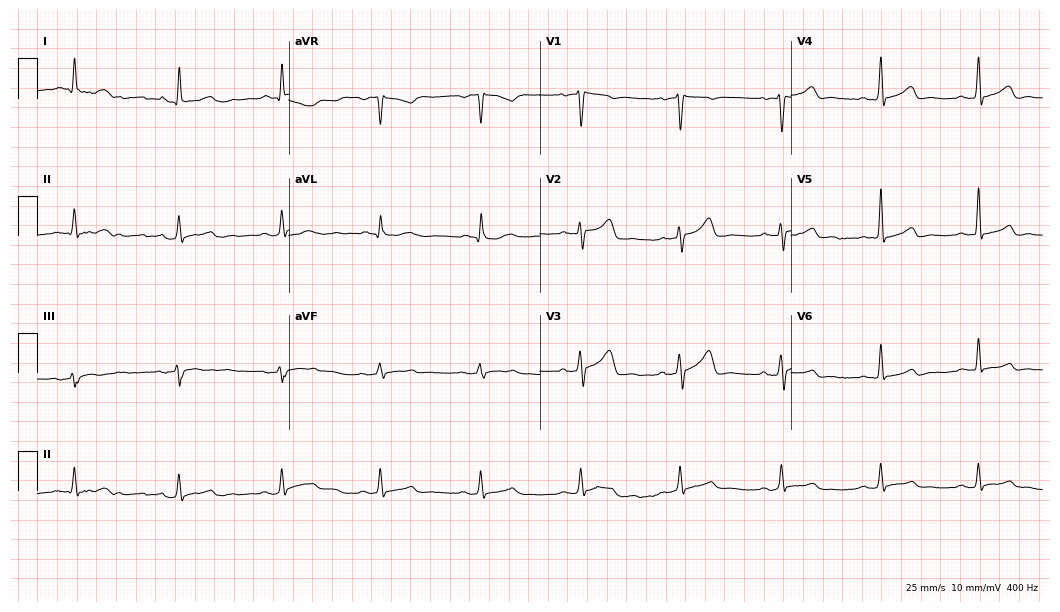
Standard 12-lead ECG recorded from a 61-year-old man (10.2-second recording at 400 Hz). Read as a normal ECG.